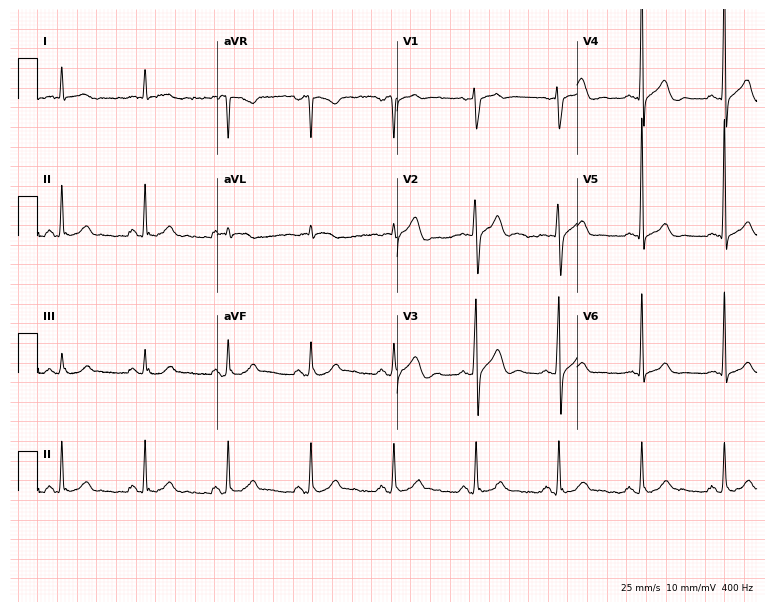
ECG — a 52-year-old male patient. Labelled as a normal ECG.